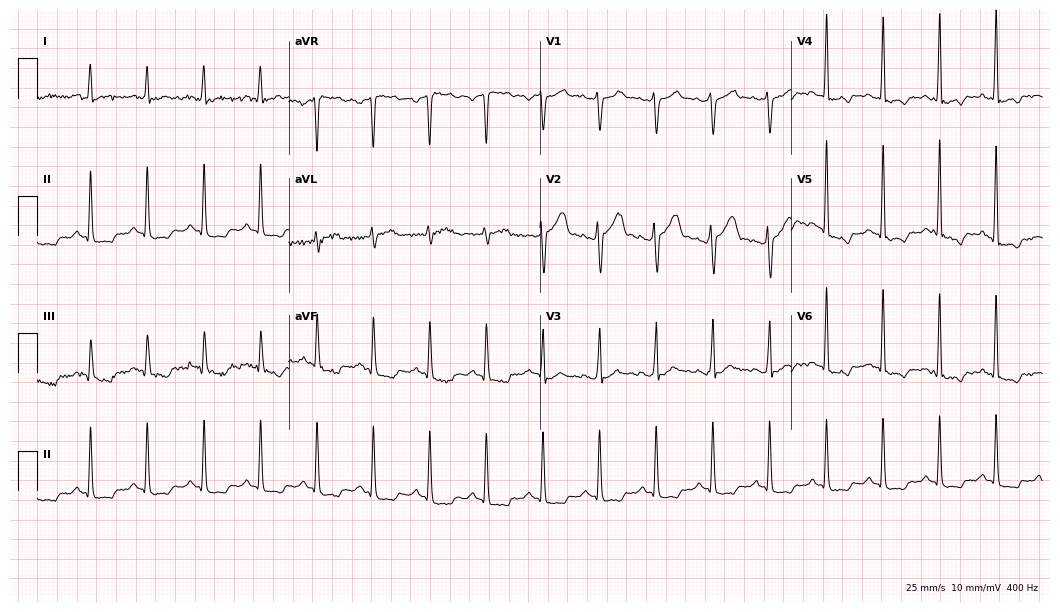
ECG (10.2-second recording at 400 Hz) — a 45-year-old man. Findings include sinus tachycardia (a sinus rate of 100 beats per minute or more).